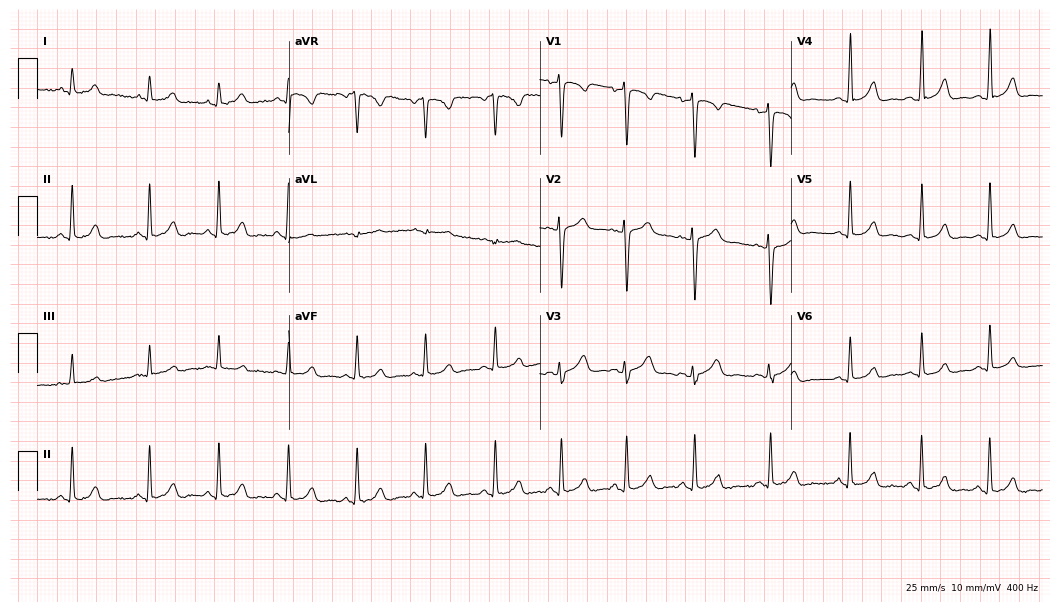
Resting 12-lead electrocardiogram. Patient: a 23-year-old woman. Read as a normal ECG.